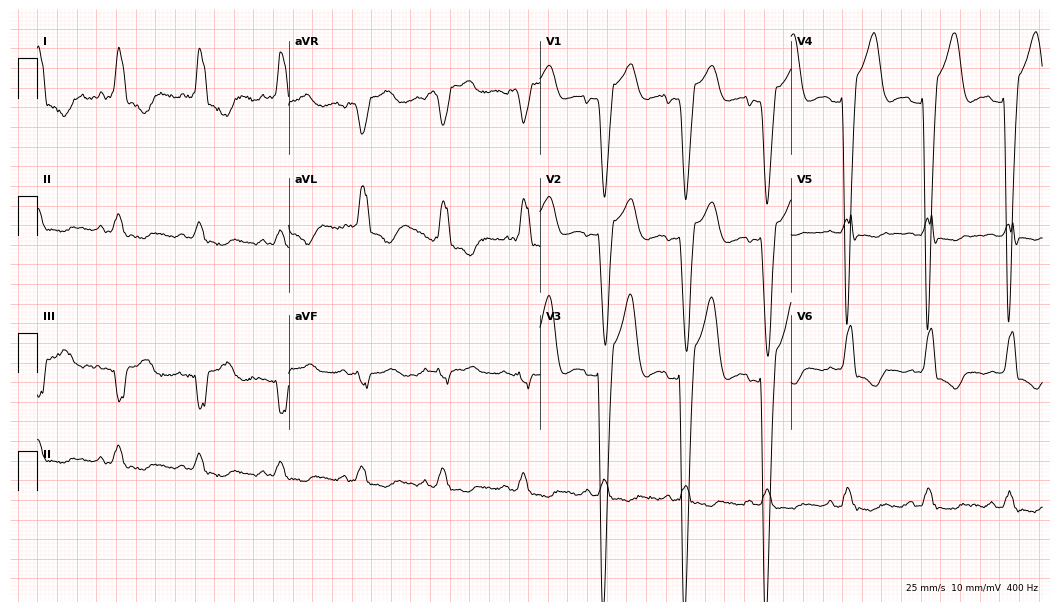
12-lead ECG from a female patient, 62 years old (10.2-second recording at 400 Hz). Shows left bundle branch block (LBBB).